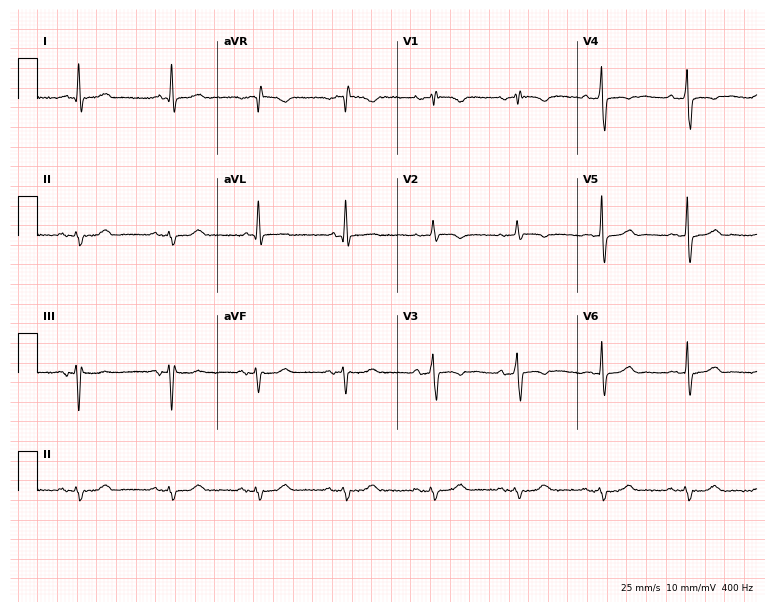
12-lead ECG from a male, 84 years old. No first-degree AV block, right bundle branch block (RBBB), left bundle branch block (LBBB), sinus bradycardia, atrial fibrillation (AF) or sinus tachycardia recorded for this tracing. Findings outside these six are not listed.